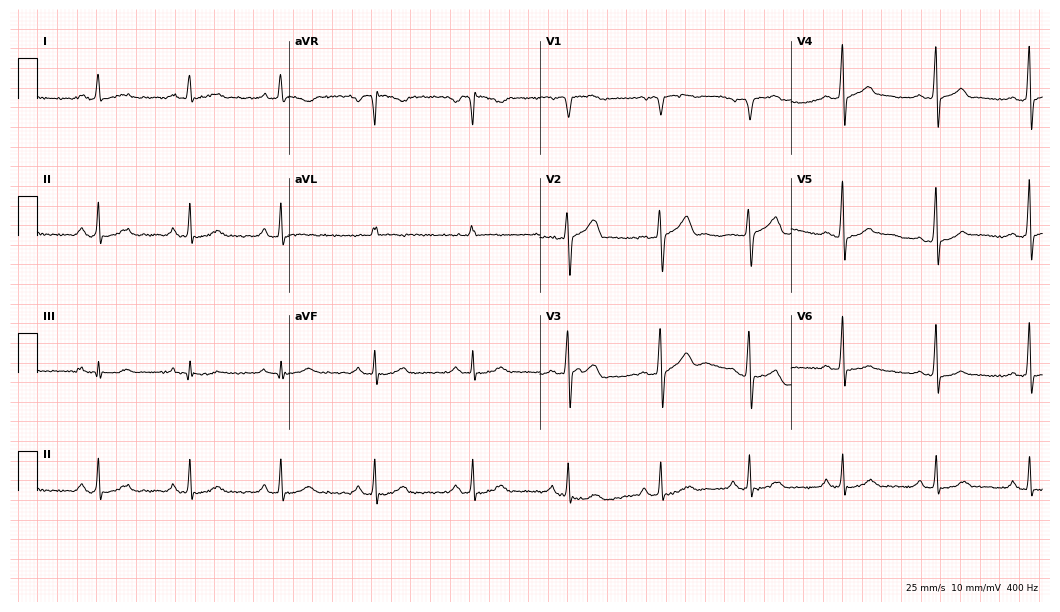
12-lead ECG from a 48-year-old woman. Recorded interpretation: within normal limits.